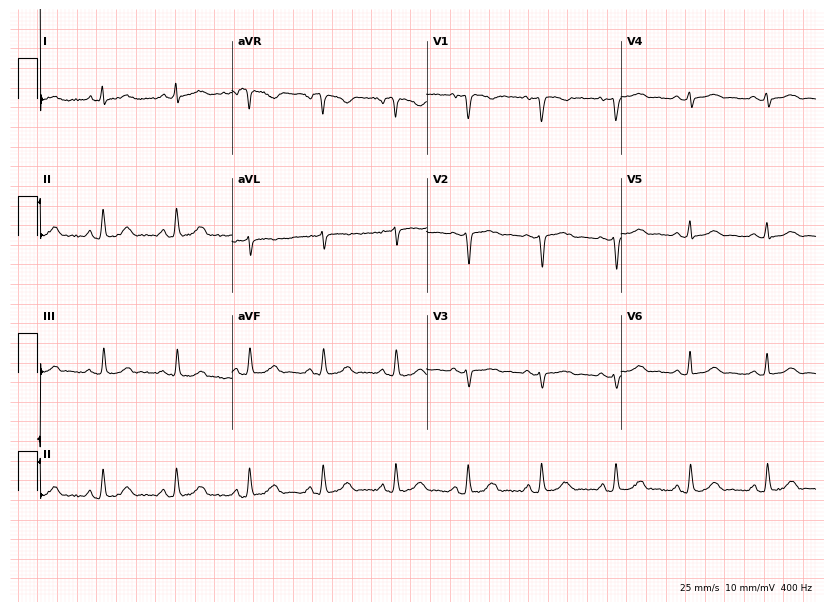
ECG — a woman, 51 years old. Labelled as a normal ECG.